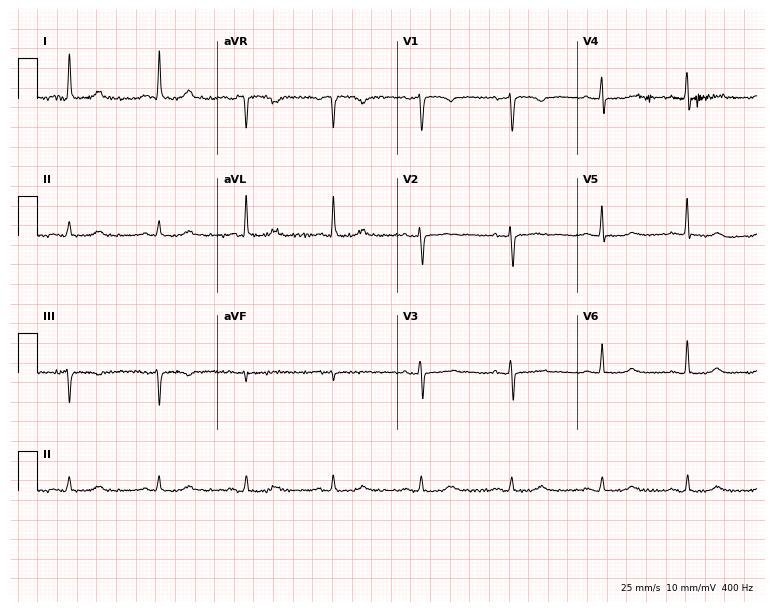
Standard 12-lead ECG recorded from a female patient, 59 years old (7.3-second recording at 400 Hz). Read as a normal ECG.